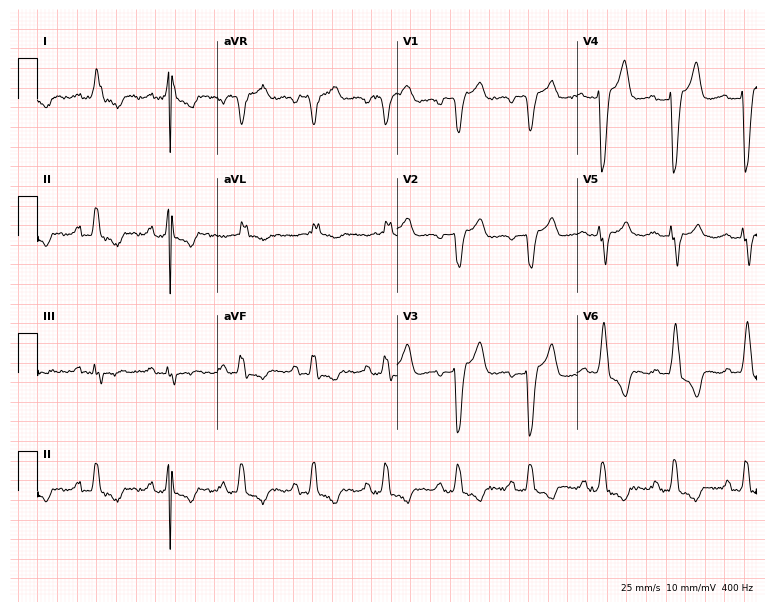
Standard 12-lead ECG recorded from an 82-year-old female patient (7.3-second recording at 400 Hz). The tracing shows left bundle branch block.